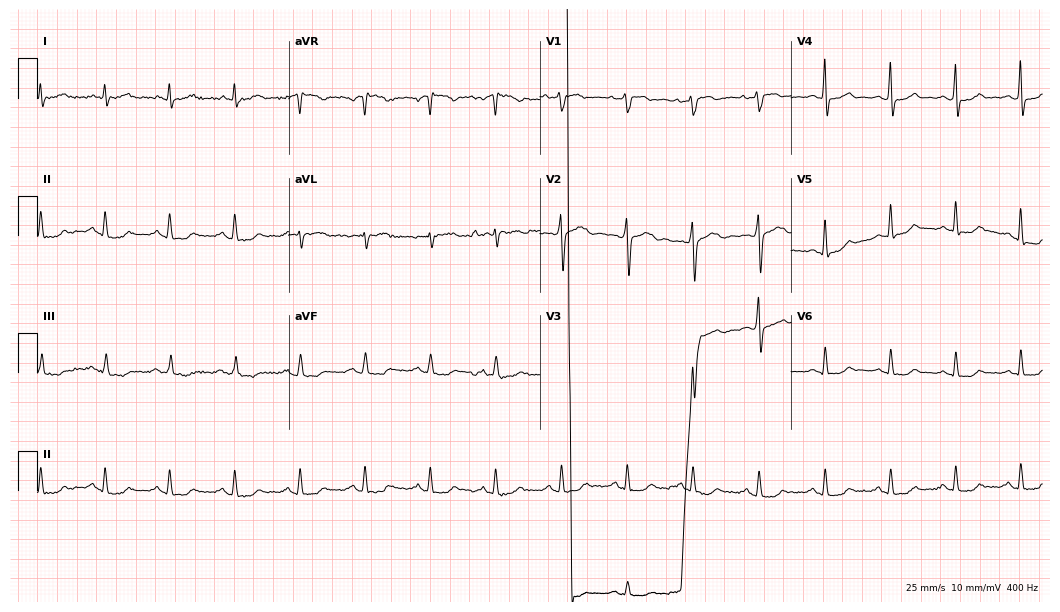
Electrocardiogram (10.2-second recording at 400 Hz), a 63-year-old male. Of the six screened findings (first-degree AV block, right bundle branch block, left bundle branch block, sinus bradycardia, atrial fibrillation, sinus tachycardia), none is recorded.